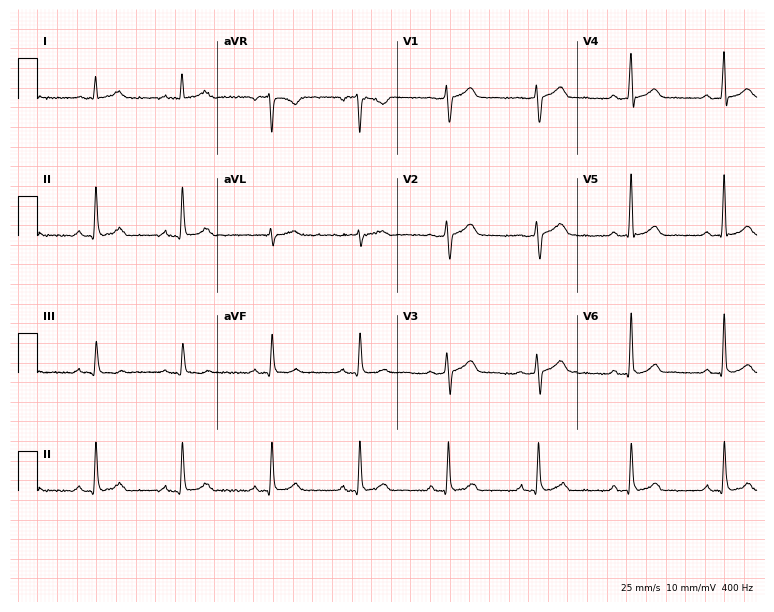
Resting 12-lead electrocardiogram (7.3-second recording at 400 Hz). Patient: a man, 54 years old. Read as a normal ECG.